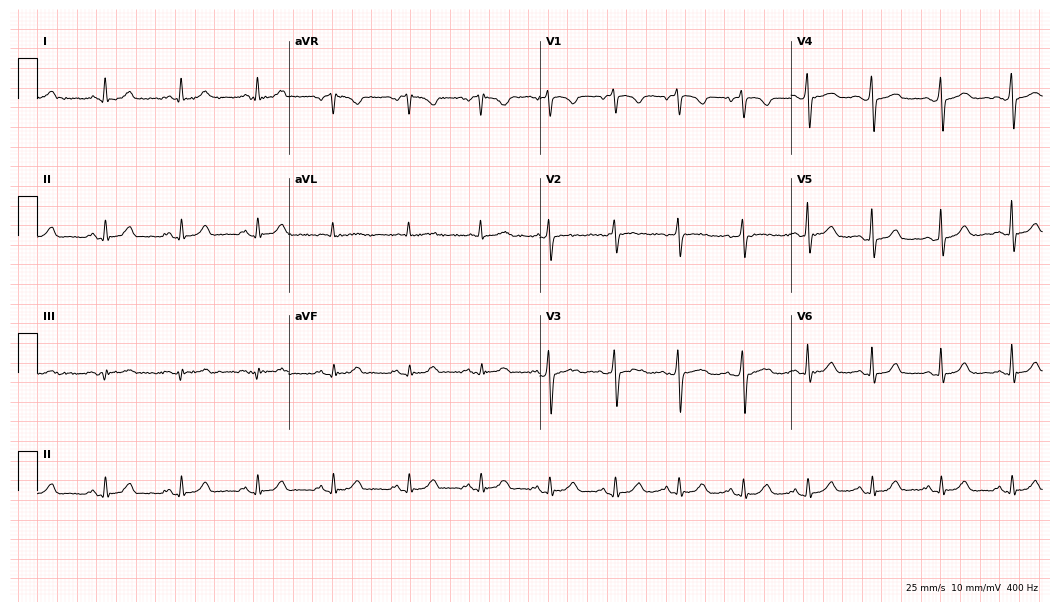
Resting 12-lead electrocardiogram. Patient: a 55-year-old female. Read as a normal ECG.